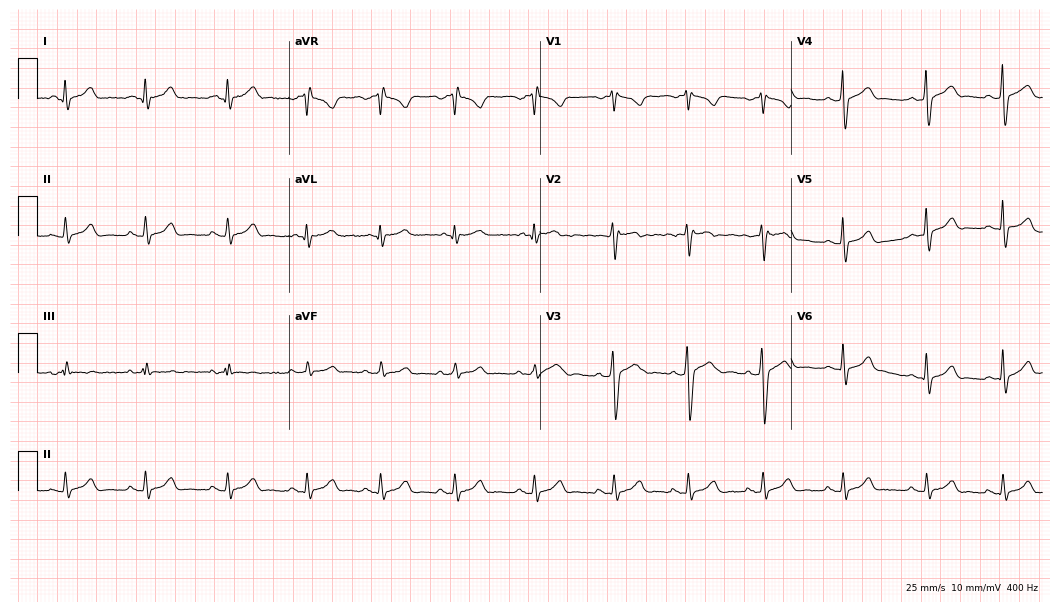
Standard 12-lead ECG recorded from a man, 22 years old. Read as a normal ECG.